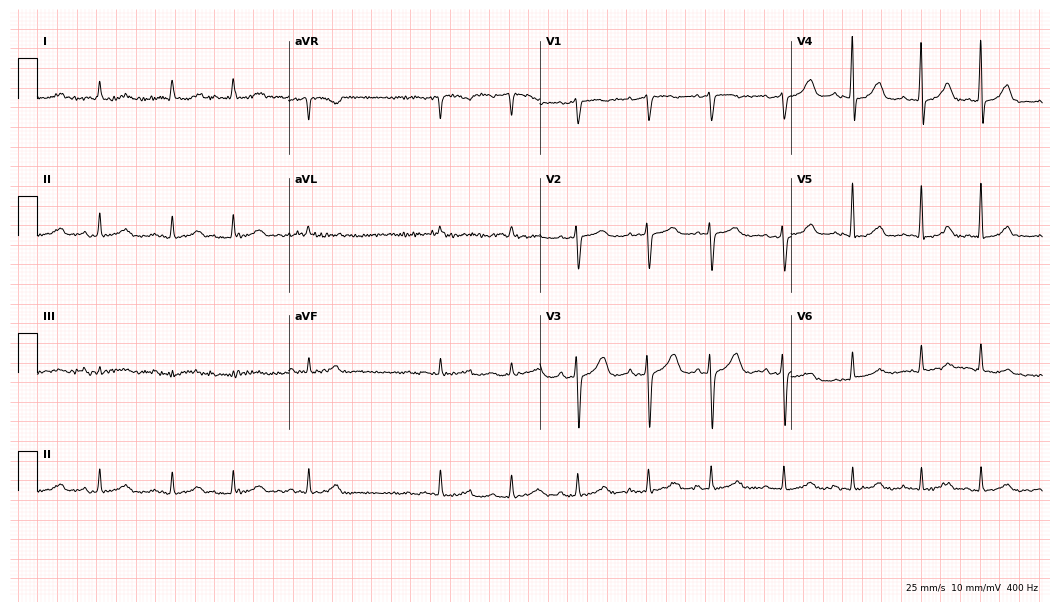
12-lead ECG from a woman, 82 years old. No first-degree AV block, right bundle branch block (RBBB), left bundle branch block (LBBB), sinus bradycardia, atrial fibrillation (AF) or sinus tachycardia recorded for this tracing.